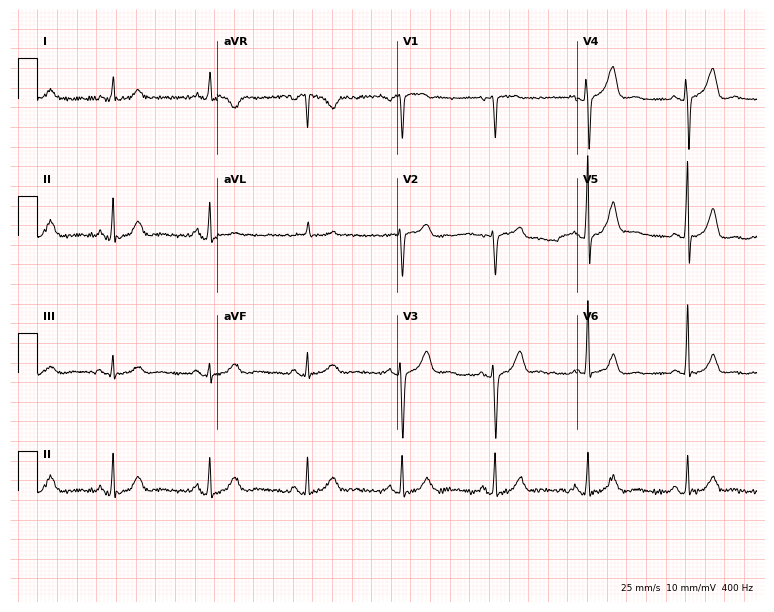
12-lead ECG from a woman, 53 years old. Labelled as a normal ECG.